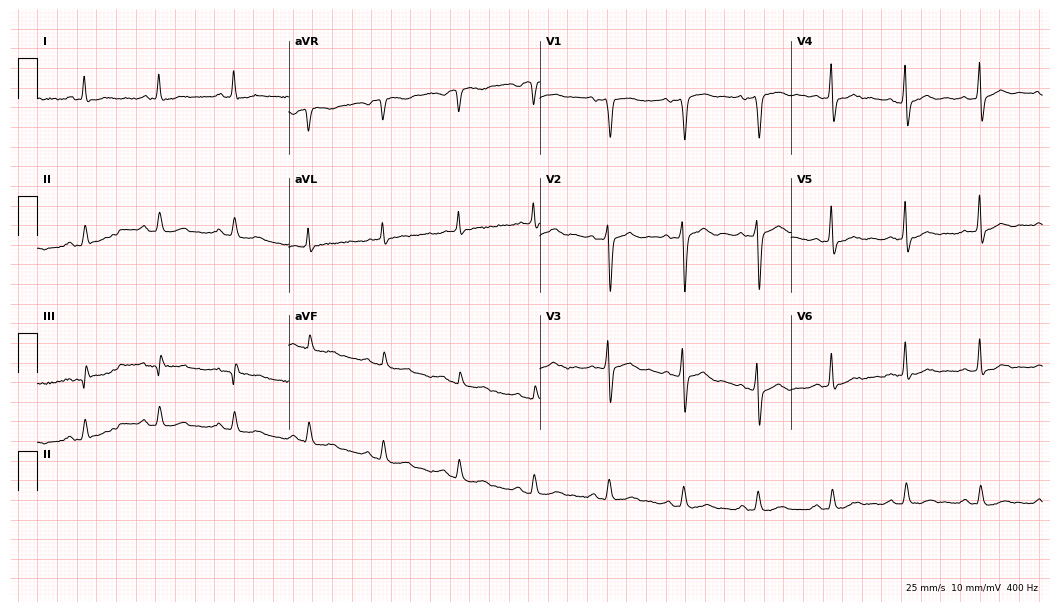
12-lead ECG from a 75-year-old male patient (10.2-second recording at 400 Hz). No first-degree AV block, right bundle branch block (RBBB), left bundle branch block (LBBB), sinus bradycardia, atrial fibrillation (AF) or sinus tachycardia recorded for this tracing. Findings outside these six are not listed.